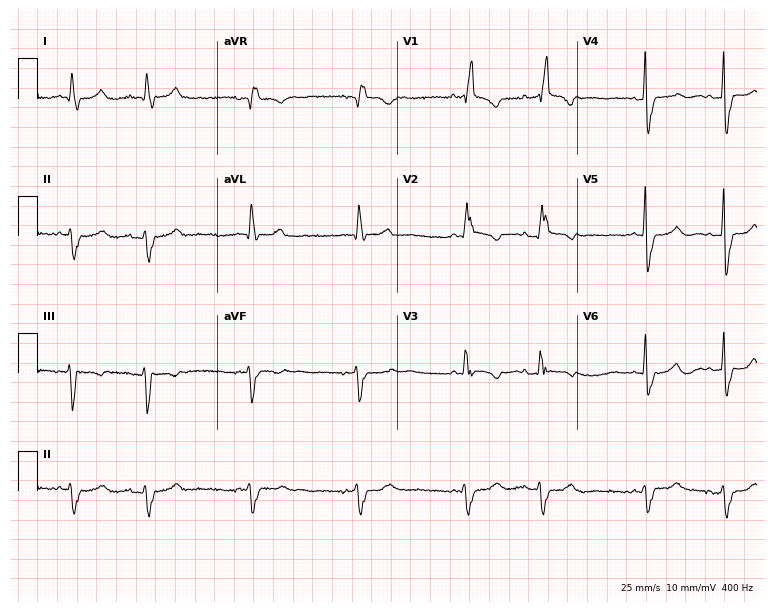
Electrocardiogram, a male patient, 80 years old. Interpretation includes right bundle branch block (RBBB).